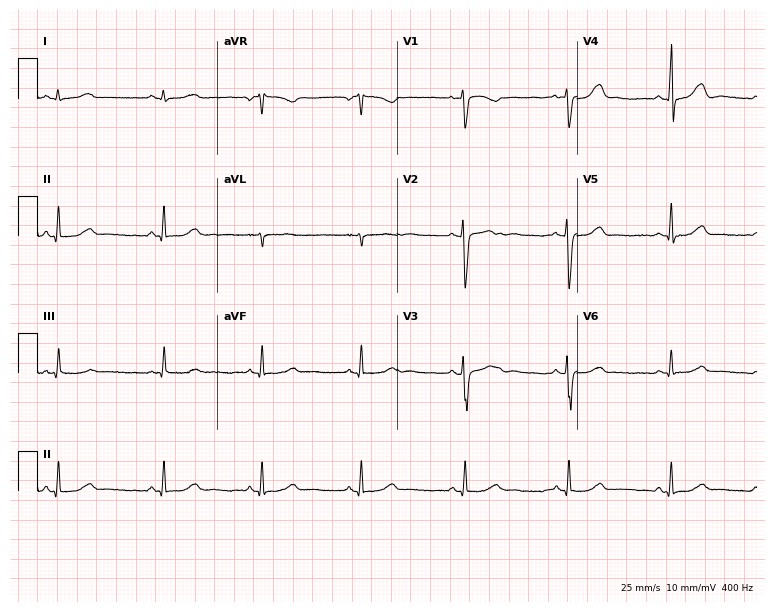
Resting 12-lead electrocardiogram (7.3-second recording at 400 Hz). Patient: a 31-year-old woman. None of these six findings is recorded: first-degree AV block, right bundle branch block (RBBB), left bundle branch block (LBBB), sinus bradycardia, atrial fibrillation (AF), sinus tachycardia. Only these six findings were labelled.